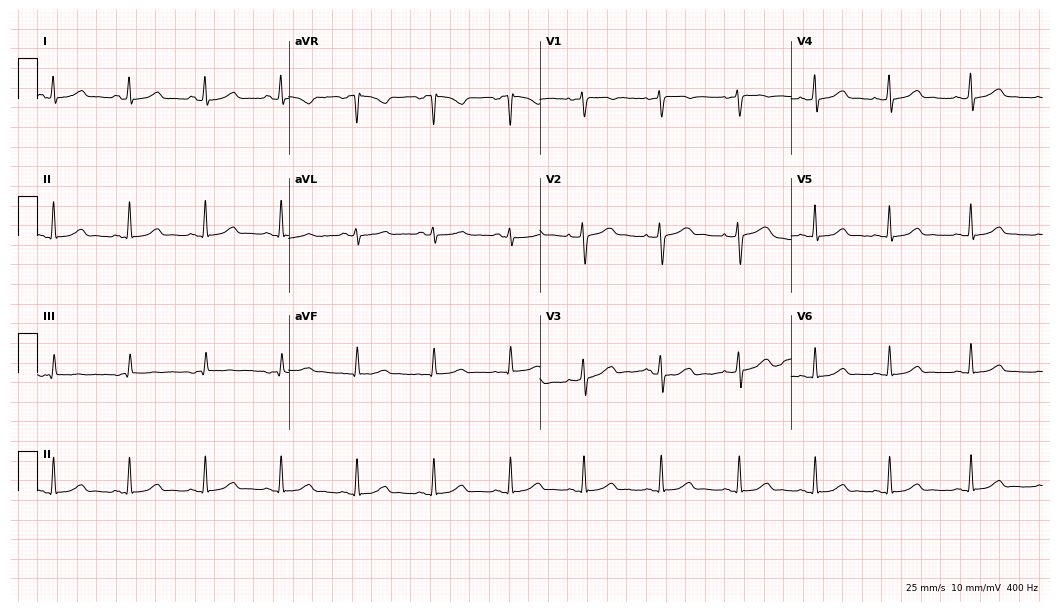
Electrocardiogram, a female patient, 58 years old. Of the six screened findings (first-degree AV block, right bundle branch block, left bundle branch block, sinus bradycardia, atrial fibrillation, sinus tachycardia), none is recorded.